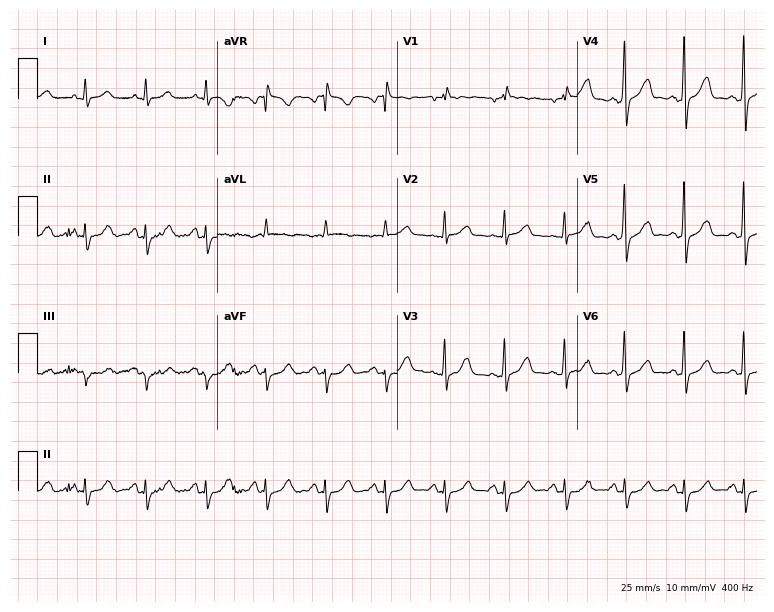
12-lead ECG from a 66-year-old male. Screened for six findings — first-degree AV block, right bundle branch block (RBBB), left bundle branch block (LBBB), sinus bradycardia, atrial fibrillation (AF), sinus tachycardia — none is recorded.